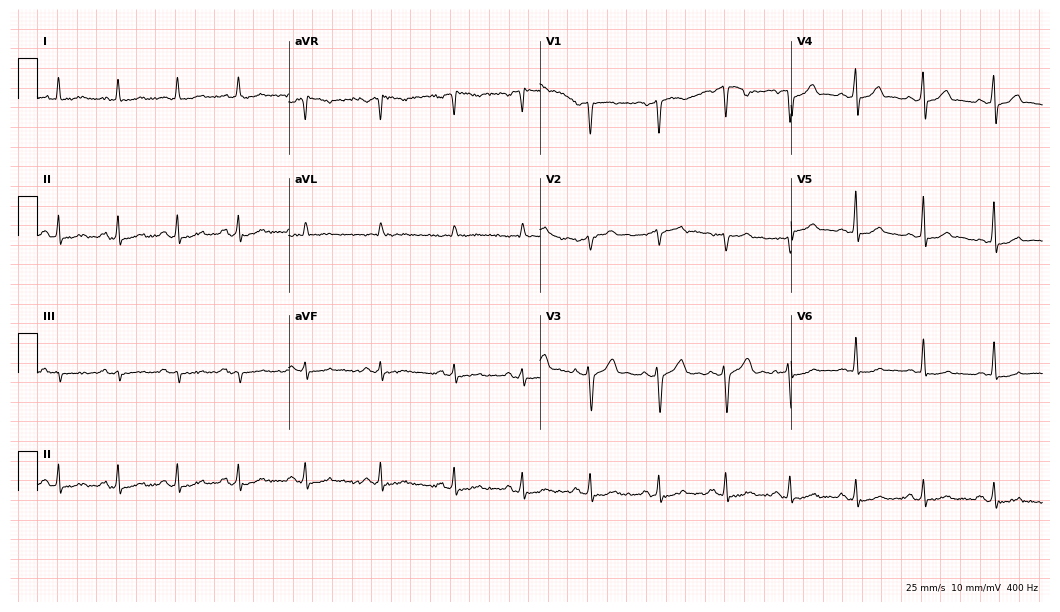
Standard 12-lead ECG recorded from a 63-year-old man (10.2-second recording at 400 Hz). None of these six findings is recorded: first-degree AV block, right bundle branch block, left bundle branch block, sinus bradycardia, atrial fibrillation, sinus tachycardia. Findings outside these six are not listed.